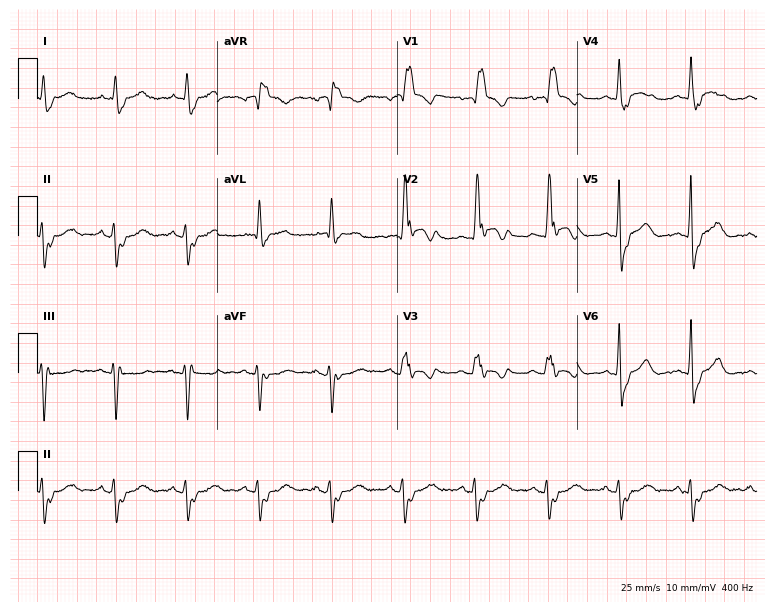
Standard 12-lead ECG recorded from an 85-year-old man. None of these six findings is recorded: first-degree AV block, right bundle branch block, left bundle branch block, sinus bradycardia, atrial fibrillation, sinus tachycardia.